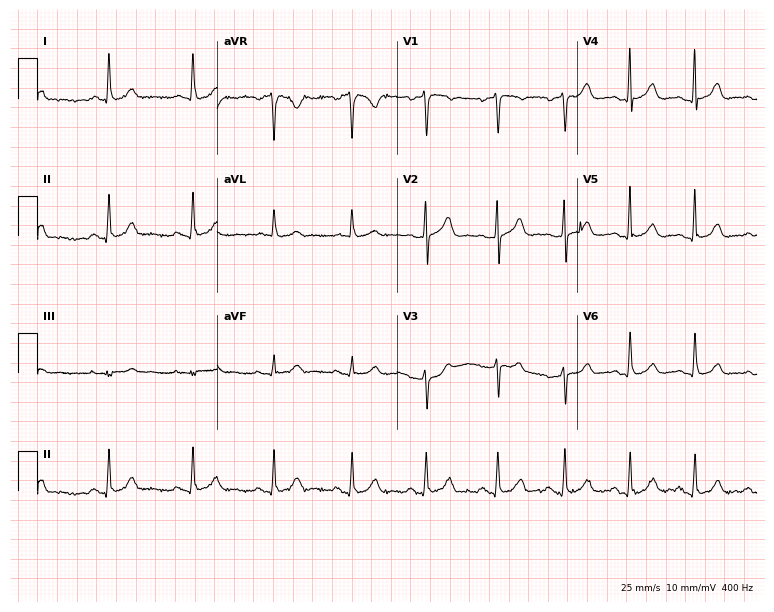
Standard 12-lead ECG recorded from a 59-year-old female. None of these six findings is recorded: first-degree AV block, right bundle branch block, left bundle branch block, sinus bradycardia, atrial fibrillation, sinus tachycardia. Findings outside these six are not listed.